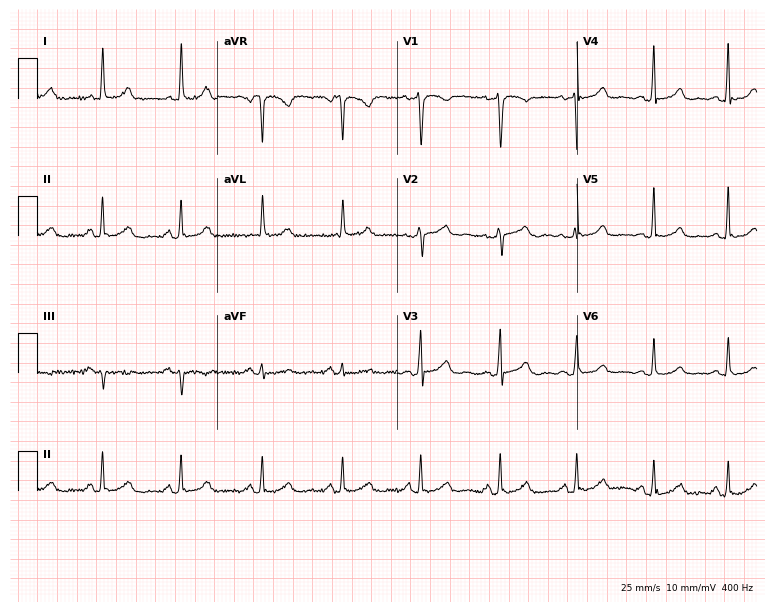
12-lead ECG from a female, 58 years old. Labelled as a normal ECG.